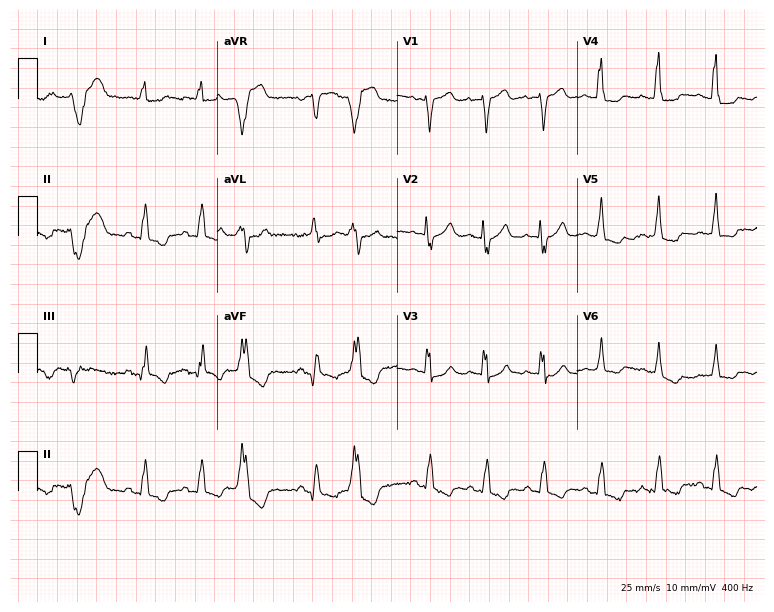
12-lead ECG from a 74-year-old female. Findings include sinus tachycardia (a sinus rate of 100 beats per minute or more).